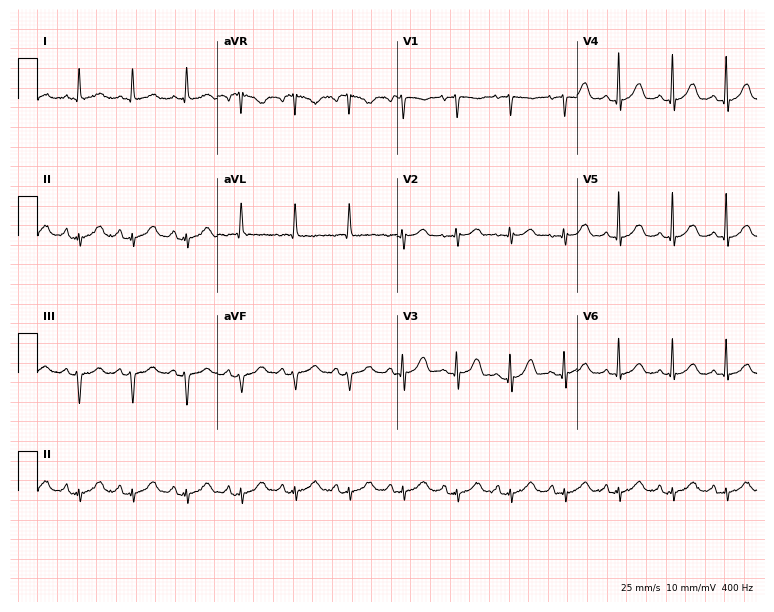
ECG — a woman, 72 years old. Screened for six findings — first-degree AV block, right bundle branch block, left bundle branch block, sinus bradycardia, atrial fibrillation, sinus tachycardia — none is recorded. Only these six findings were labelled.